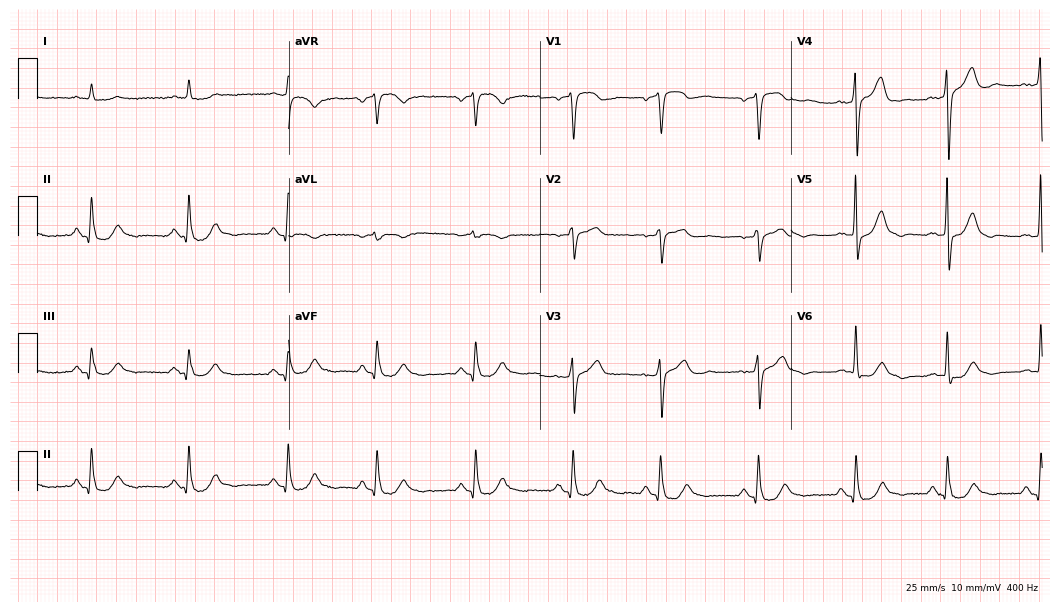
Electrocardiogram (10.2-second recording at 400 Hz), a 73-year-old male patient. Of the six screened findings (first-degree AV block, right bundle branch block, left bundle branch block, sinus bradycardia, atrial fibrillation, sinus tachycardia), none is recorded.